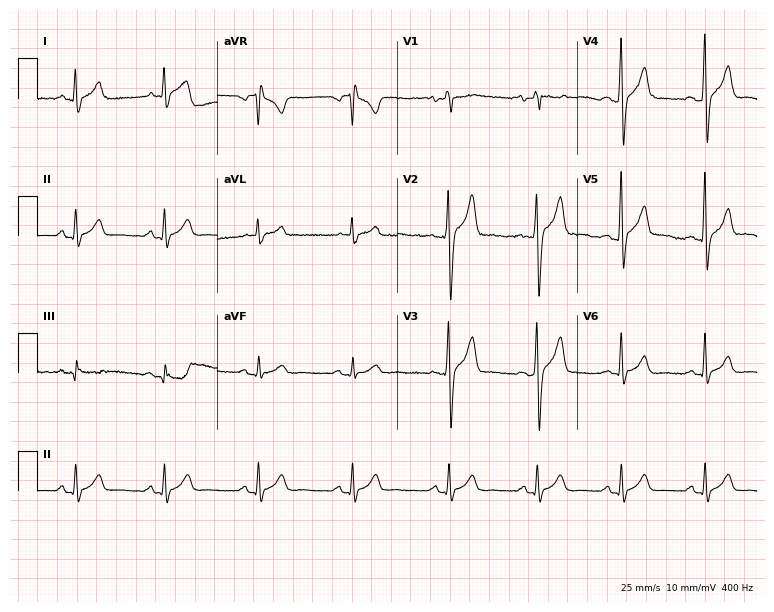
12-lead ECG from a 39-year-old male patient (7.3-second recording at 400 Hz). Recorded interpretation: within normal limits.